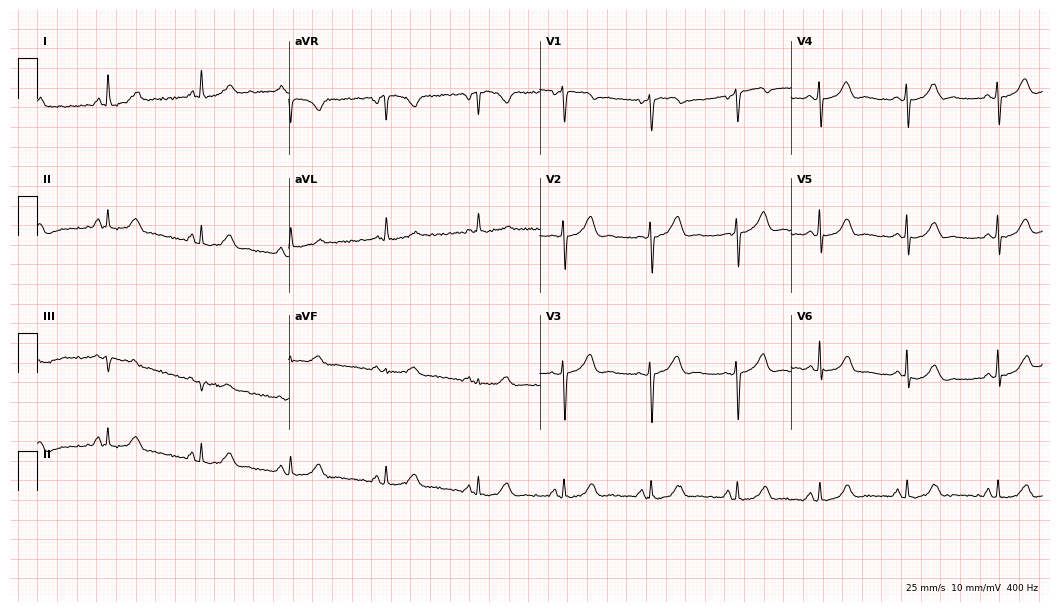
12-lead ECG from a 41-year-old female (10.2-second recording at 400 Hz). Recorded interpretation: within normal limits.